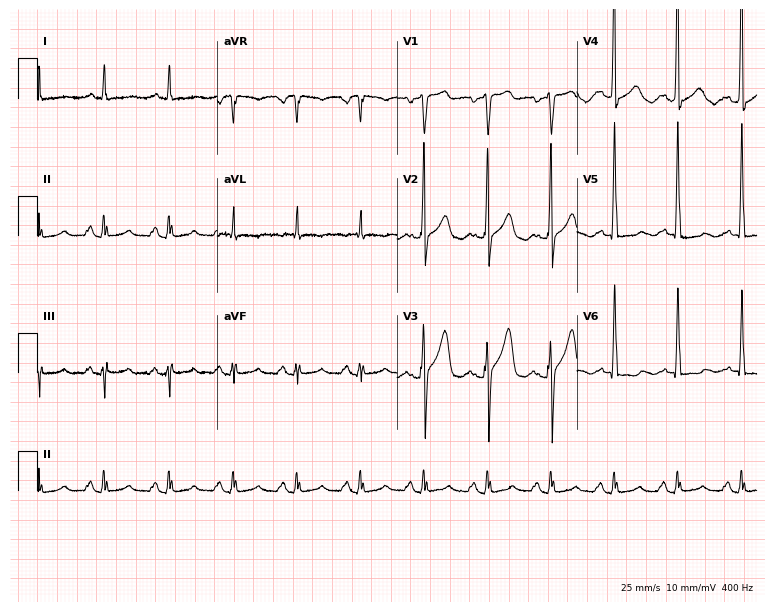
ECG — a 60-year-old male patient. Screened for six findings — first-degree AV block, right bundle branch block, left bundle branch block, sinus bradycardia, atrial fibrillation, sinus tachycardia — none is recorded. Only these six findings were labelled.